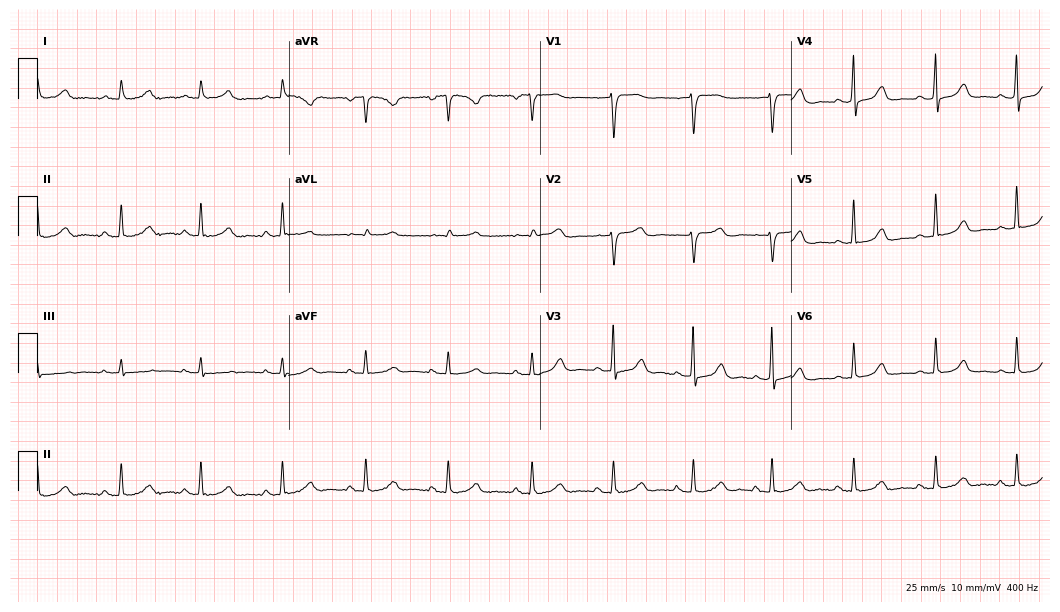
Electrocardiogram (10.2-second recording at 400 Hz), a 62-year-old woman. Overall reading on record: normal ECG.